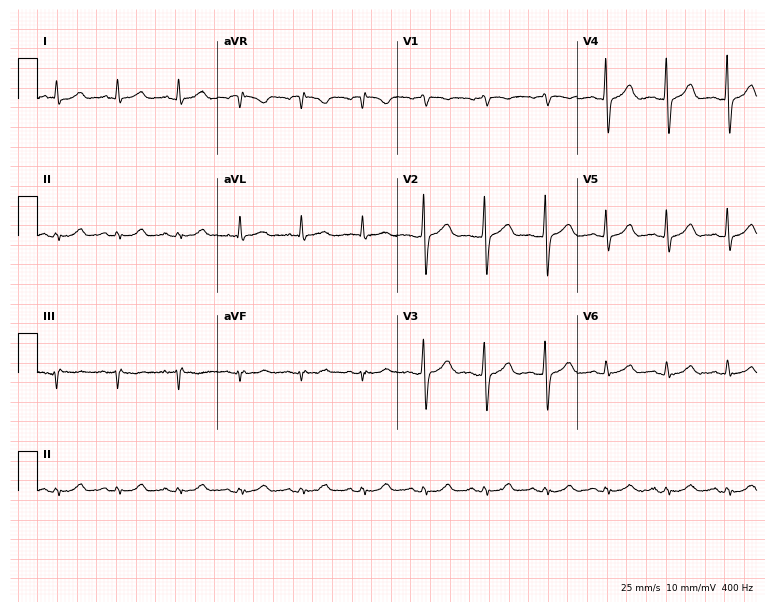
Electrocardiogram (7.3-second recording at 400 Hz), a male patient, 69 years old. Overall reading on record: normal ECG.